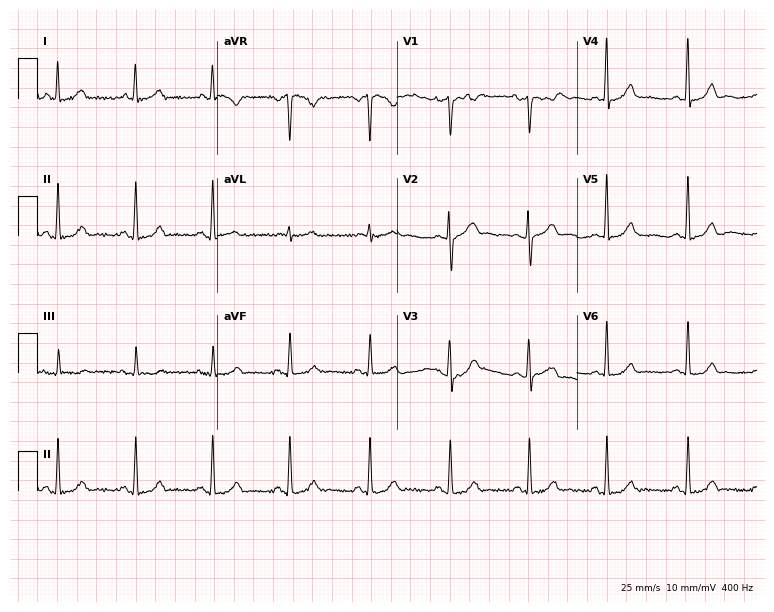
Standard 12-lead ECG recorded from a 29-year-old female (7.3-second recording at 400 Hz). Read as a normal ECG.